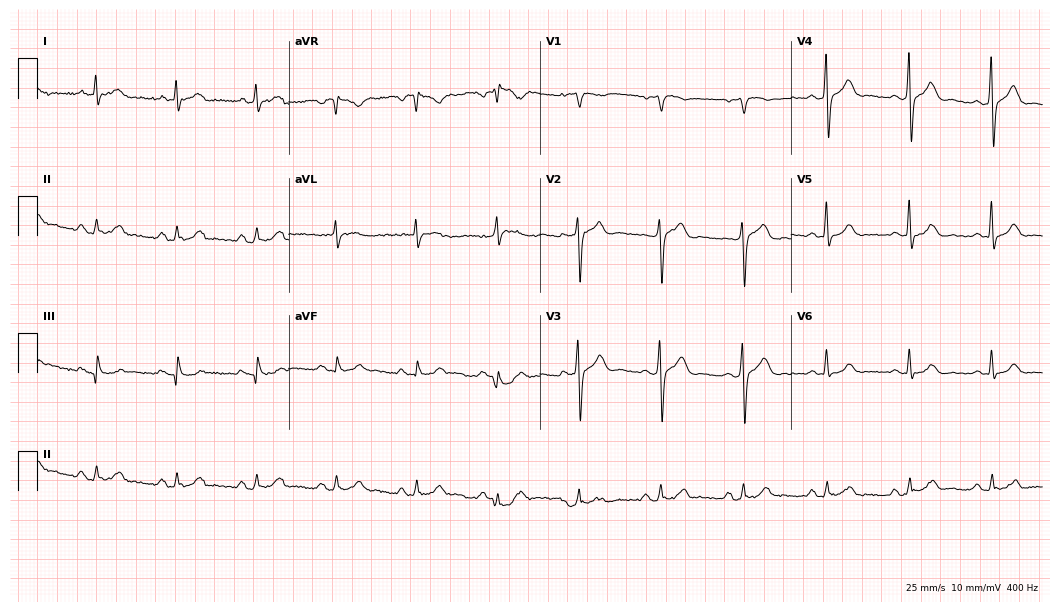
Standard 12-lead ECG recorded from a 65-year-old man. Read as a normal ECG.